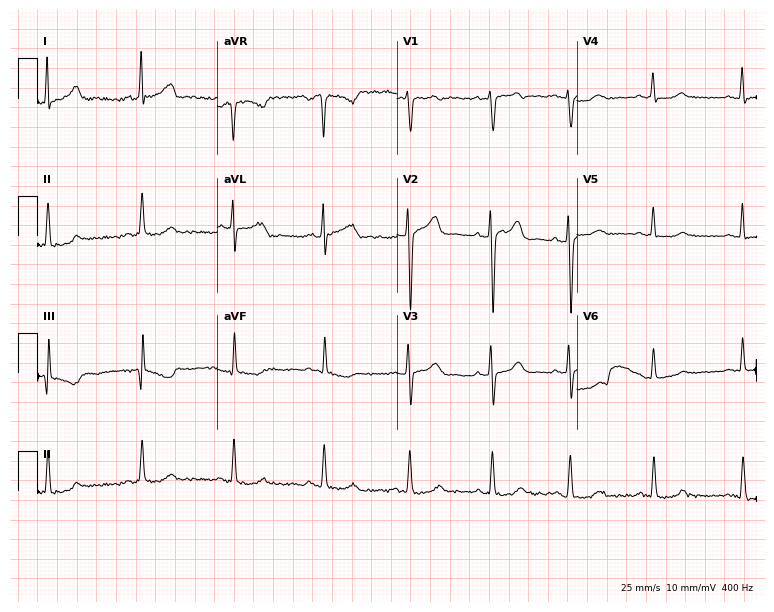
Standard 12-lead ECG recorded from a 30-year-old female patient. None of these six findings is recorded: first-degree AV block, right bundle branch block, left bundle branch block, sinus bradycardia, atrial fibrillation, sinus tachycardia. Only these six findings were labelled.